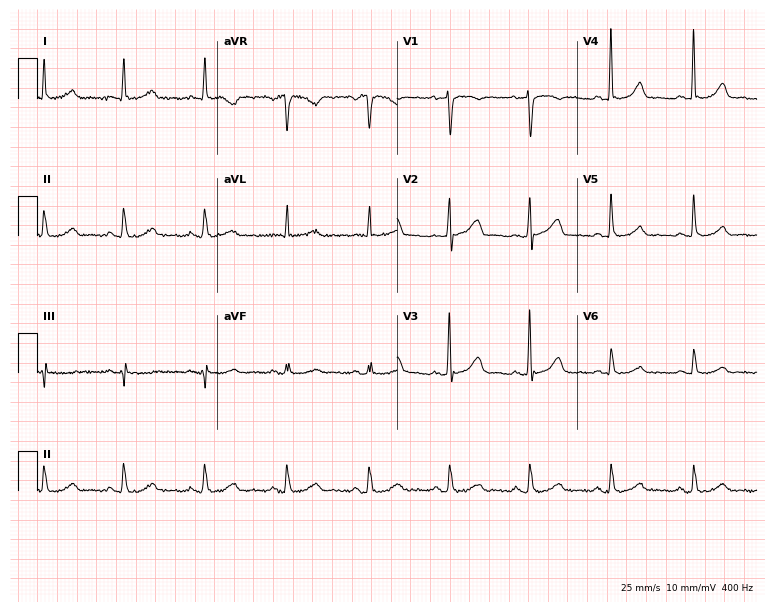
Resting 12-lead electrocardiogram. Patient: a 60-year-old female. None of these six findings is recorded: first-degree AV block, right bundle branch block, left bundle branch block, sinus bradycardia, atrial fibrillation, sinus tachycardia.